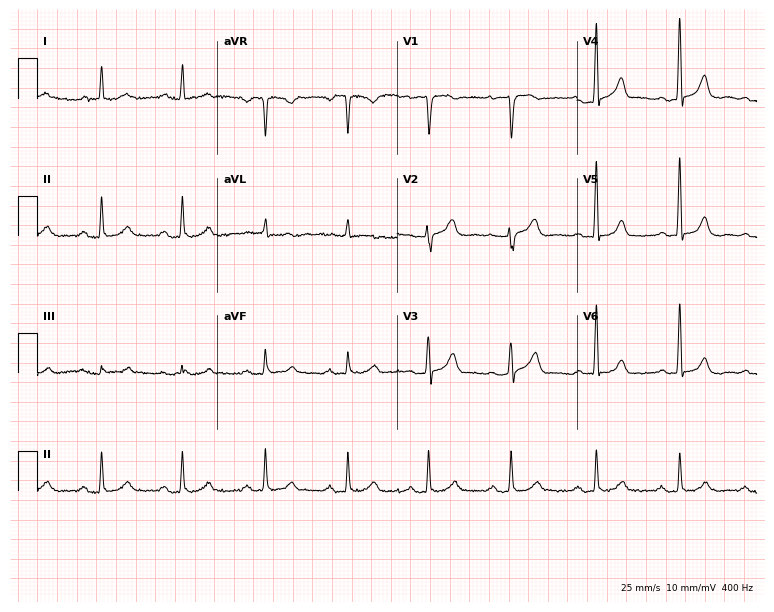
Standard 12-lead ECG recorded from a 65-year-old female patient. Read as a normal ECG.